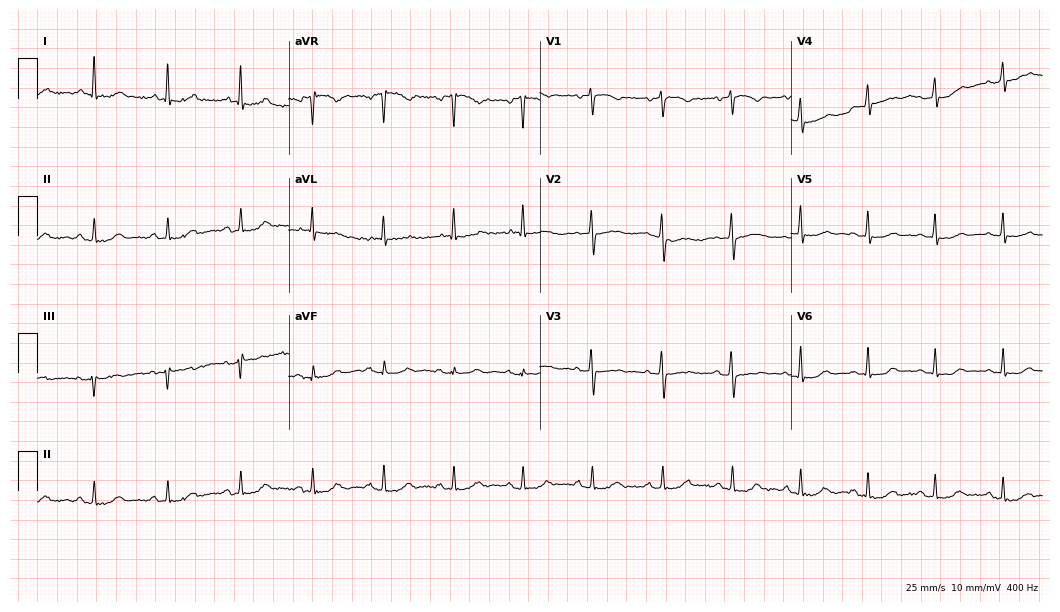
Resting 12-lead electrocardiogram (10.2-second recording at 400 Hz). Patient: a 71-year-old female. None of these six findings is recorded: first-degree AV block, right bundle branch block, left bundle branch block, sinus bradycardia, atrial fibrillation, sinus tachycardia. Findings outside these six are not listed.